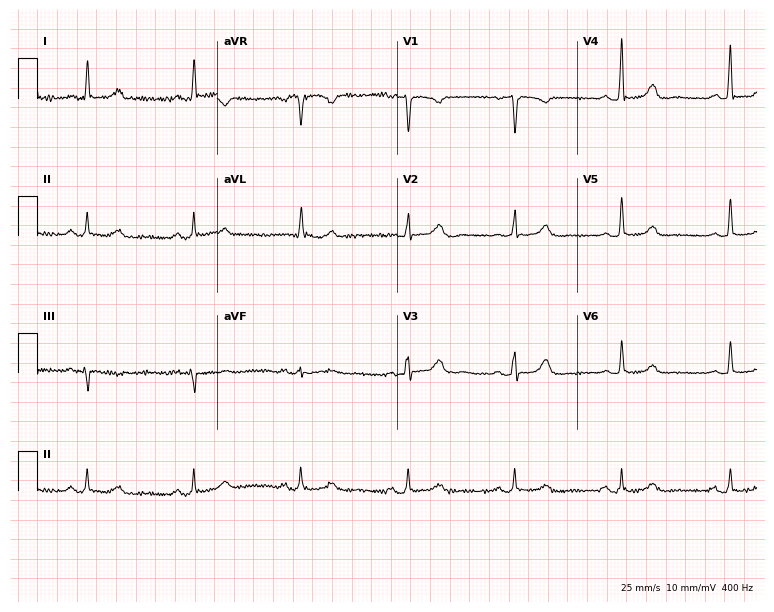
Electrocardiogram, a 53-year-old female. Of the six screened findings (first-degree AV block, right bundle branch block (RBBB), left bundle branch block (LBBB), sinus bradycardia, atrial fibrillation (AF), sinus tachycardia), none is recorded. Other findings, if any, are not listed.